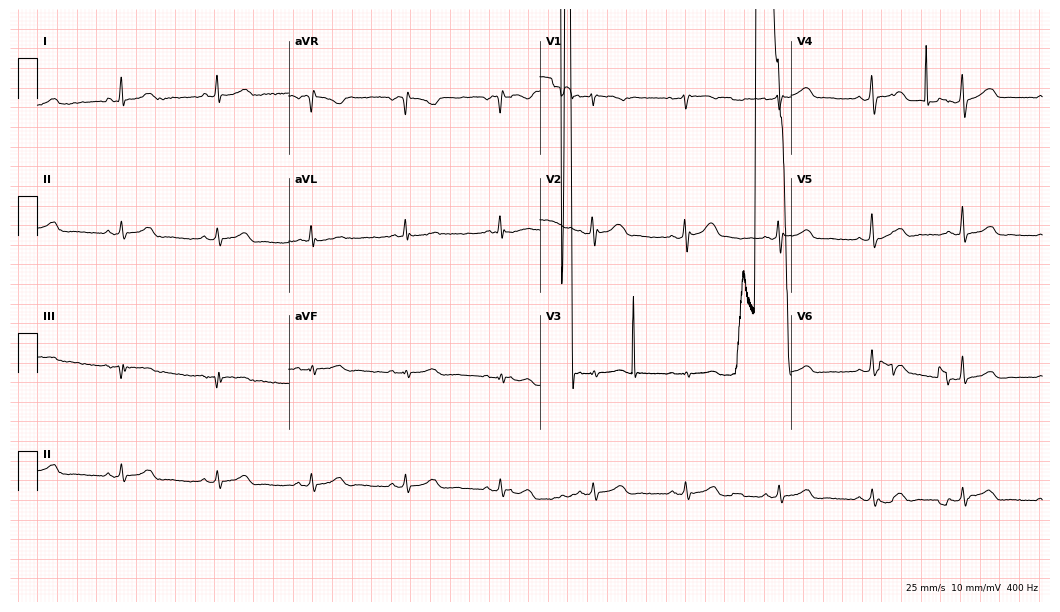
ECG (10.2-second recording at 400 Hz) — a woman, 59 years old. Screened for six findings — first-degree AV block, right bundle branch block, left bundle branch block, sinus bradycardia, atrial fibrillation, sinus tachycardia — none is recorded.